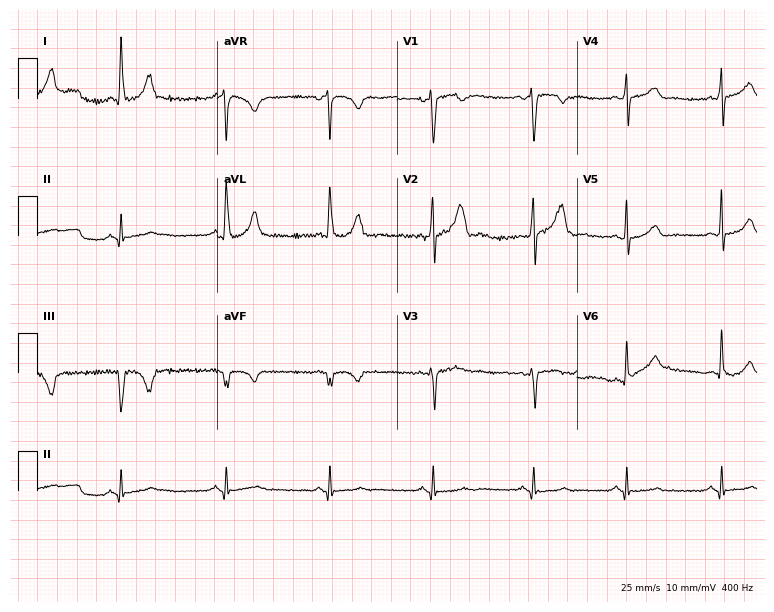
12-lead ECG from a male patient, 40 years old. No first-degree AV block, right bundle branch block (RBBB), left bundle branch block (LBBB), sinus bradycardia, atrial fibrillation (AF) or sinus tachycardia recorded for this tracing.